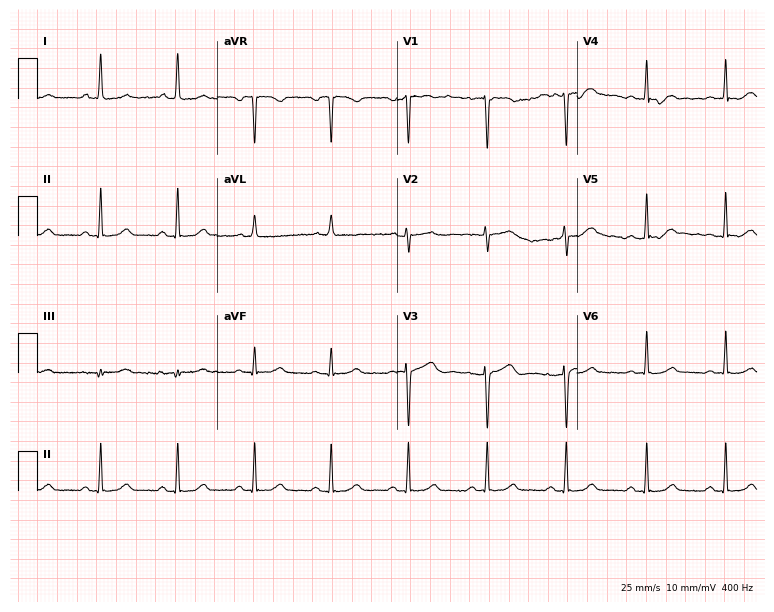
ECG — a 32-year-old female patient. Labelled as a normal ECG.